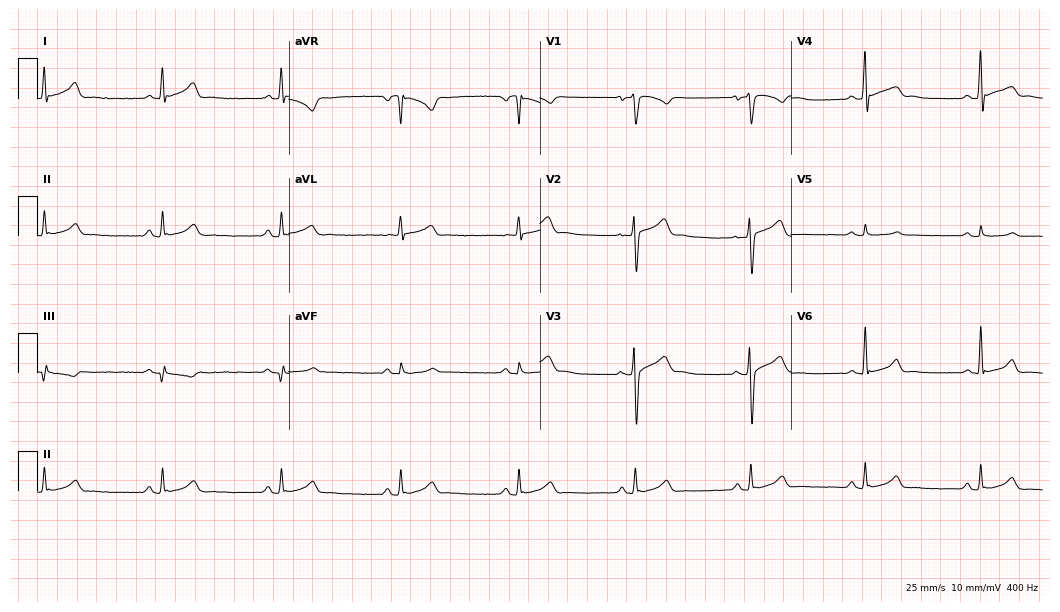
Standard 12-lead ECG recorded from a male patient, 32 years old. None of these six findings is recorded: first-degree AV block, right bundle branch block, left bundle branch block, sinus bradycardia, atrial fibrillation, sinus tachycardia.